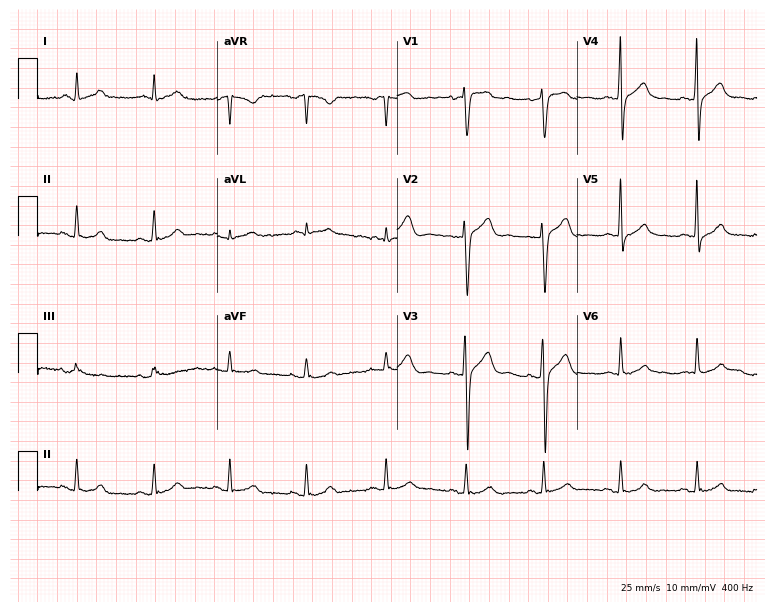
Standard 12-lead ECG recorded from a 47-year-old male. Read as a normal ECG.